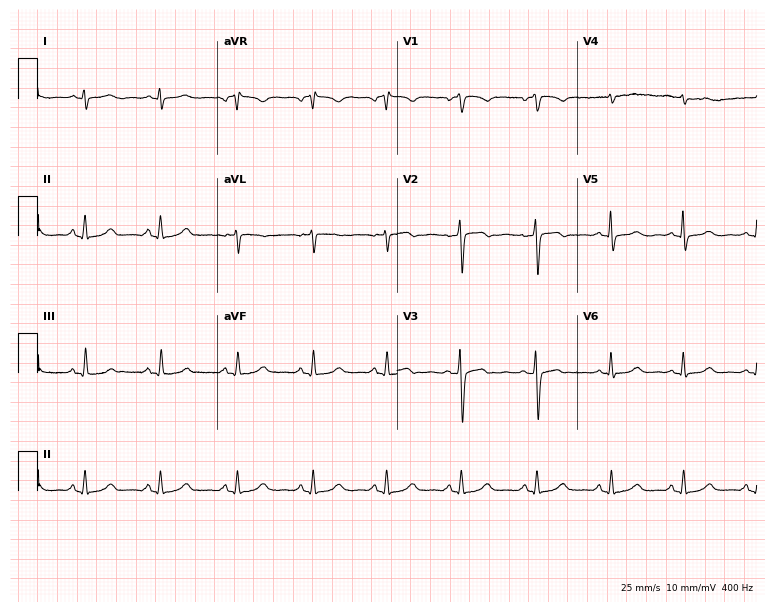
12-lead ECG from a female, 34 years old. Labelled as a normal ECG.